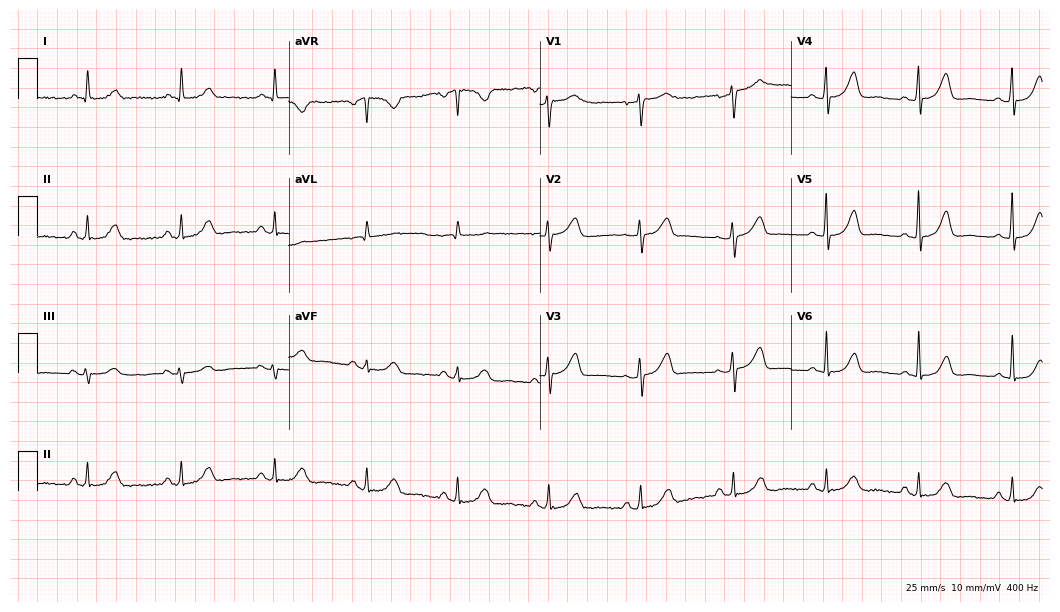
Resting 12-lead electrocardiogram (10.2-second recording at 400 Hz). Patient: a female, 56 years old. Read as a normal ECG.